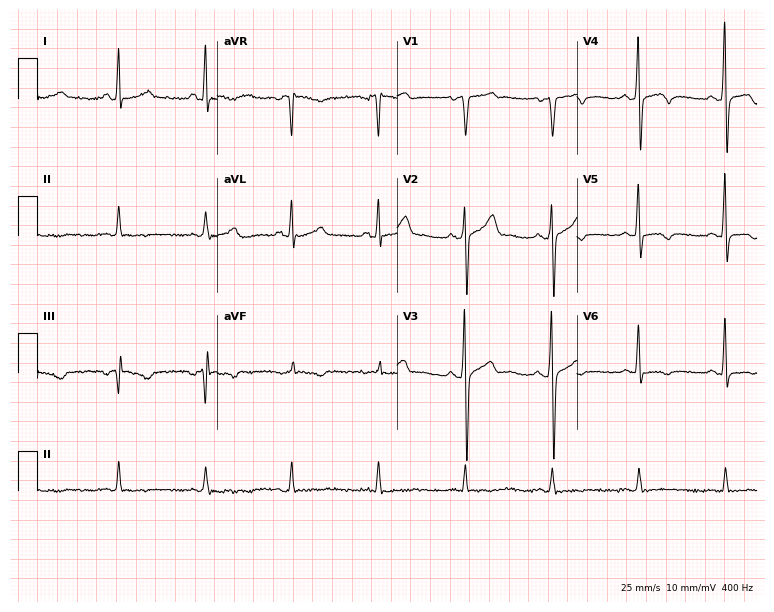
Standard 12-lead ECG recorded from a man, 57 years old (7.3-second recording at 400 Hz). None of these six findings is recorded: first-degree AV block, right bundle branch block (RBBB), left bundle branch block (LBBB), sinus bradycardia, atrial fibrillation (AF), sinus tachycardia.